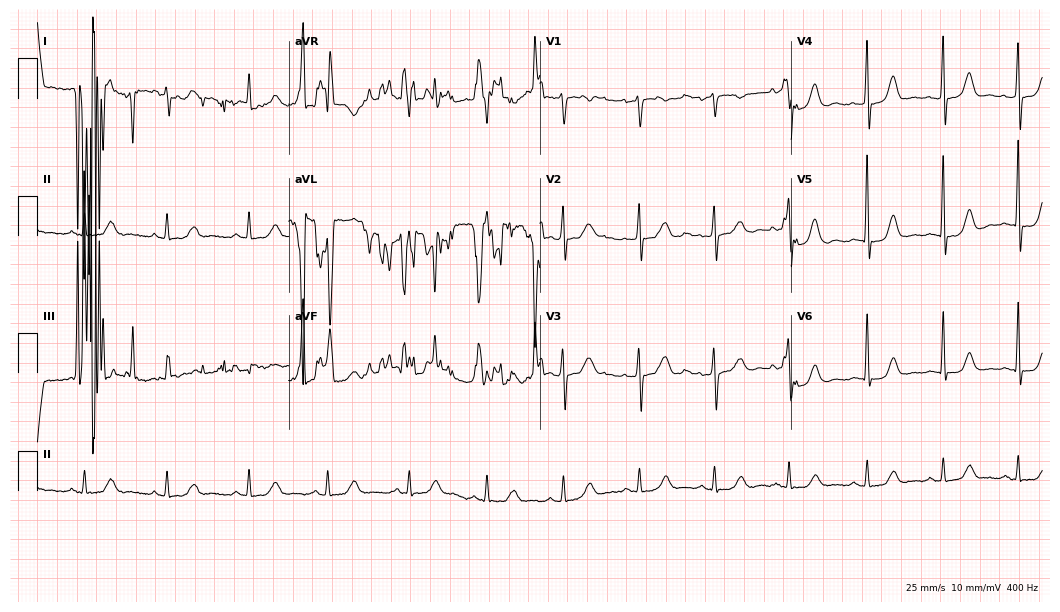
Resting 12-lead electrocardiogram. Patient: an 82-year-old female. Read as a normal ECG.